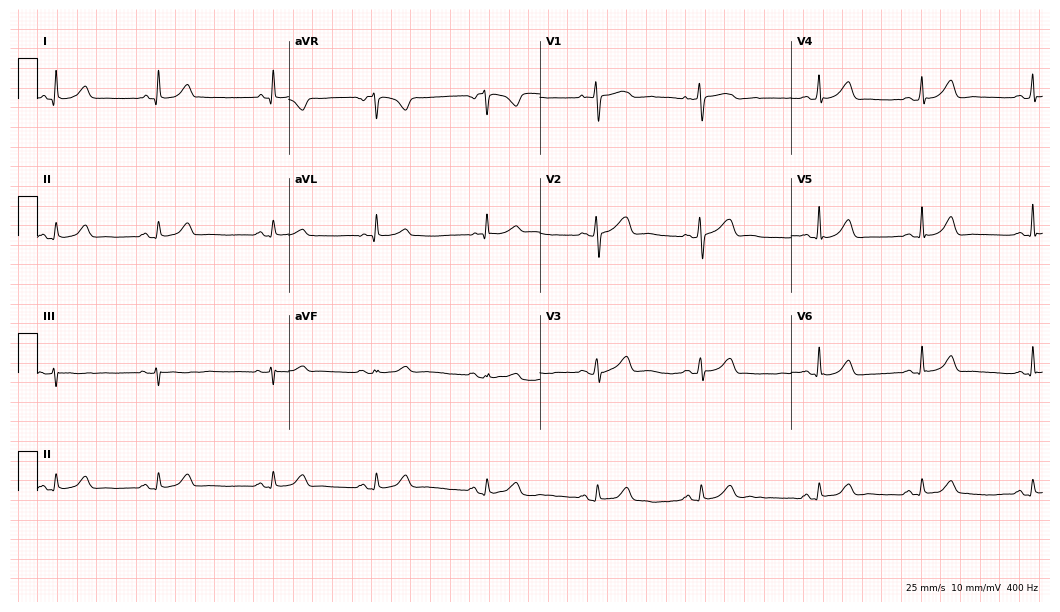
Resting 12-lead electrocardiogram. Patient: a female, 34 years old. Read as a normal ECG.